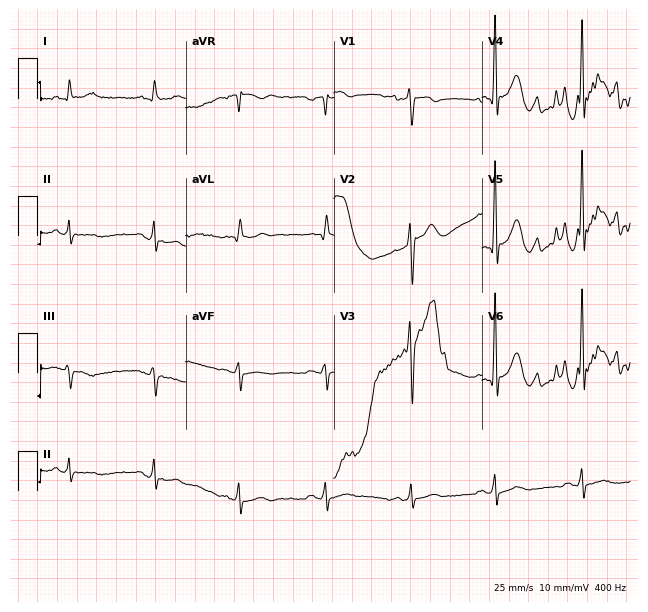
Standard 12-lead ECG recorded from a 65-year-old male. None of these six findings is recorded: first-degree AV block, right bundle branch block, left bundle branch block, sinus bradycardia, atrial fibrillation, sinus tachycardia.